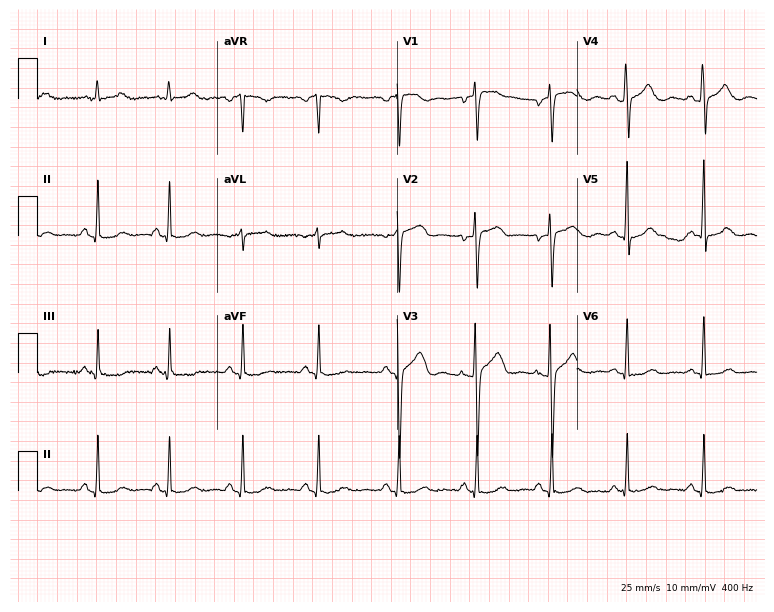
Electrocardiogram, a woman, 41 years old. Overall reading on record: normal ECG.